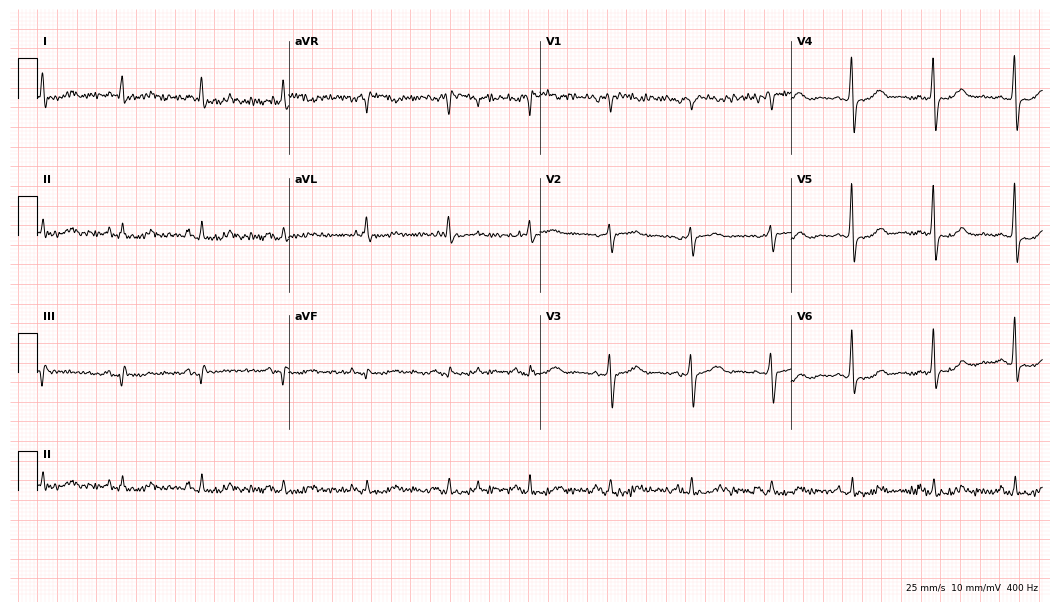
Resting 12-lead electrocardiogram (10.2-second recording at 400 Hz). Patient: a female, 75 years old. None of these six findings is recorded: first-degree AV block, right bundle branch block, left bundle branch block, sinus bradycardia, atrial fibrillation, sinus tachycardia. Other findings, if any, are not listed.